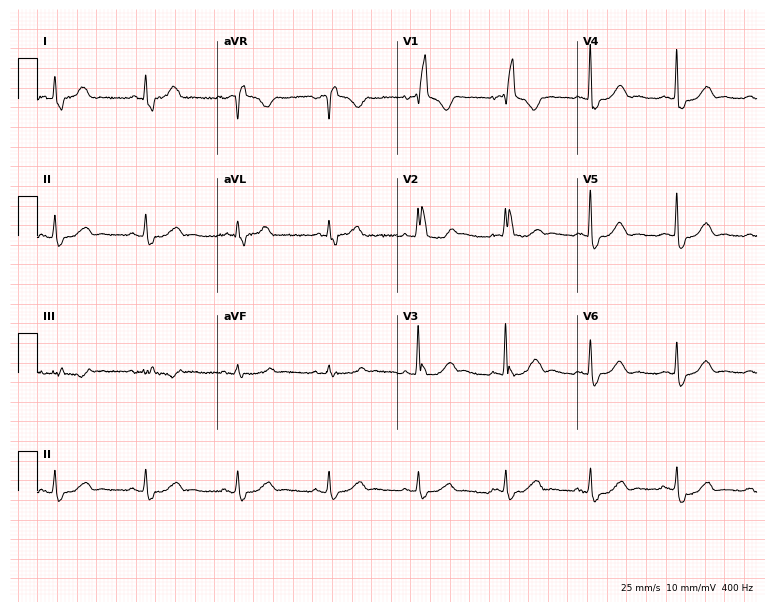
Standard 12-lead ECG recorded from a female, 66 years old (7.3-second recording at 400 Hz). None of these six findings is recorded: first-degree AV block, right bundle branch block, left bundle branch block, sinus bradycardia, atrial fibrillation, sinus tachycardia. Other findings, if any, are not listed.